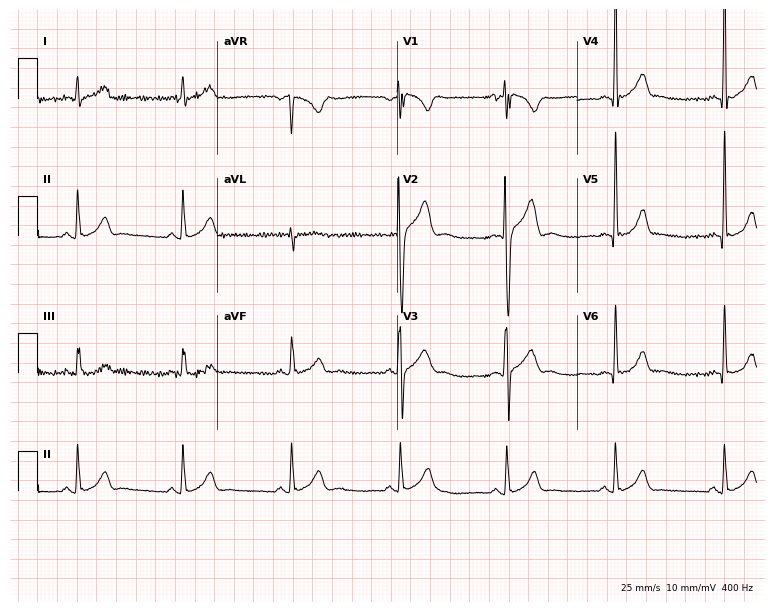
12-lead ECG from a 20-year-old male. Labelled as a normal ECG.